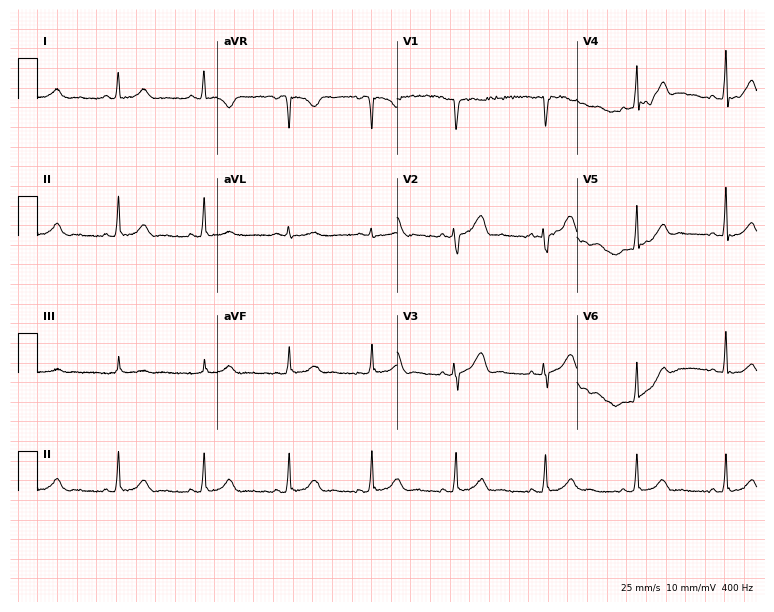
ECG (7.3-second recording at 400 Hz) — a 38-year-old female. Screened for six findings — first-degree AV block, right bundle branch block, left bundle branch block, sinus bradycardia, atrial fibrillation, sinus tachycardia — none is recorded. Other findings, if any, are not listed.